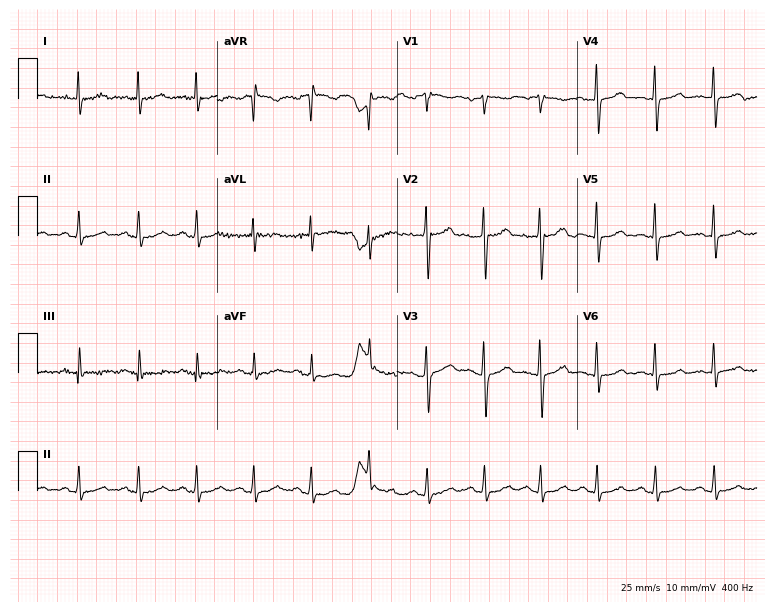
Electrocardiogram, a 46-year-old male patient. Interpretation includes sinus tachycardia (a sinus rate of 100 beats per minute or more).